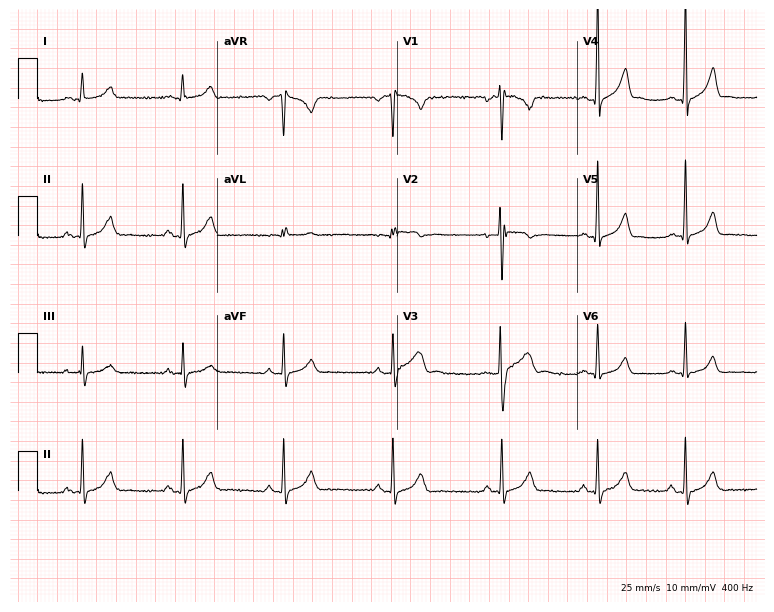
12-lead ECG from a man, 18 years old (7.3-second recording at 400 Hz). Recorded interpretation: within normal limits.